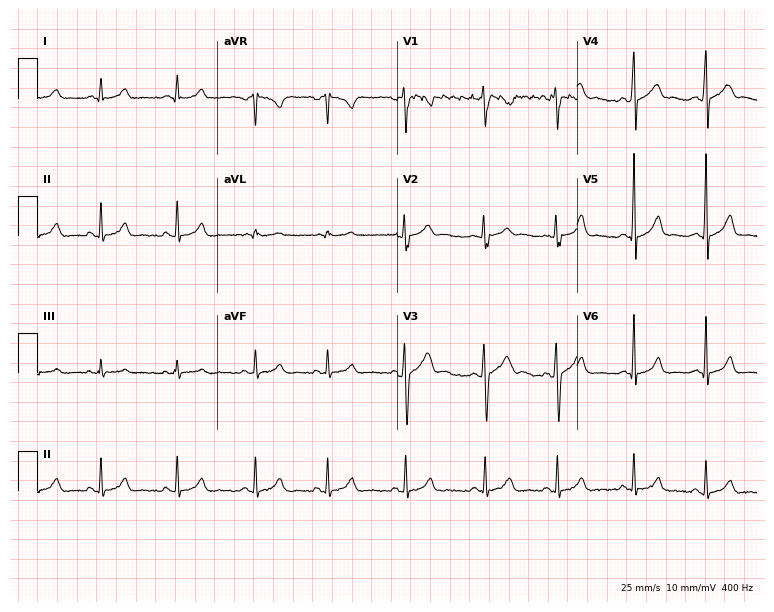
ECG — a man, 18 years old. Screened for six findings — first-degree AV block, right bundle branch block, left bundle branch block, sinus bradycardia, atrial fibrillation, sinus tachycardia — none is recorded. Findings outside these six are not listed.